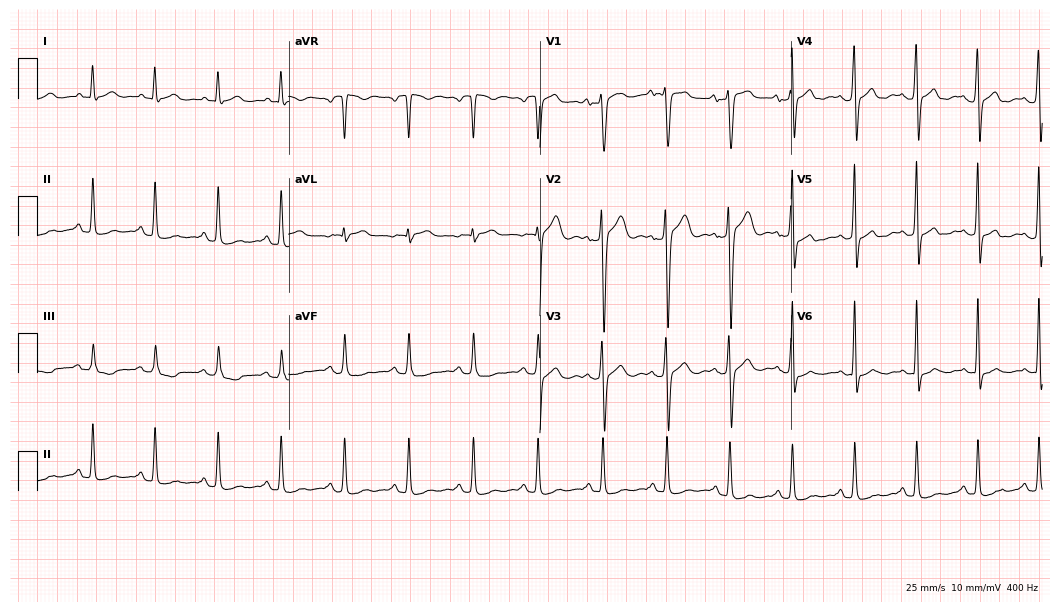
12-lead ECG from a man, 47 years old. No first-degree AV block, right bundle branch block, left bundle branch block, sinus bradycardia, atrial fibrillation or sinus tachycardia recorded for this tracing.